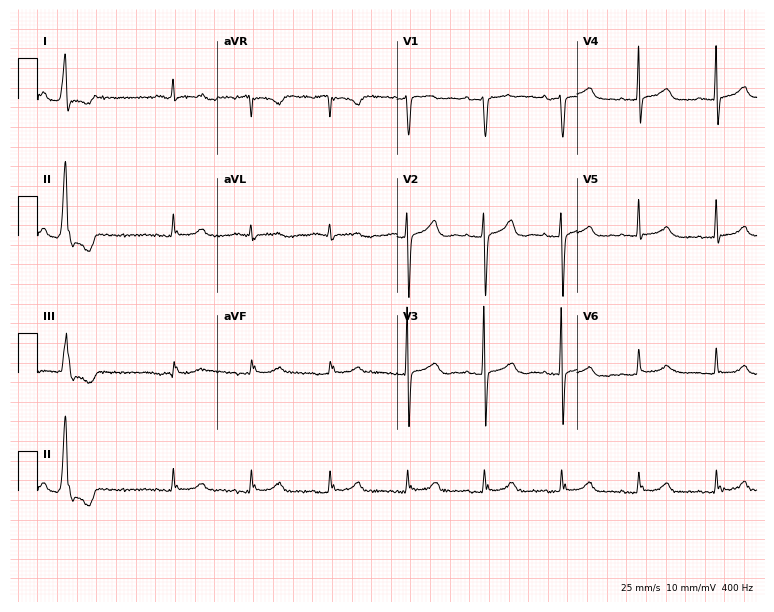
ECG (7.3-second recording at 400 Hz) — an 83-year-old female. Screened for six findings — first-degree AV block, right bundle branch block, left bundle branch block, sinus bradycardia, atrial fibrillation, sinus tachycardia — none is recorded. Other findings, if any, are not listed.